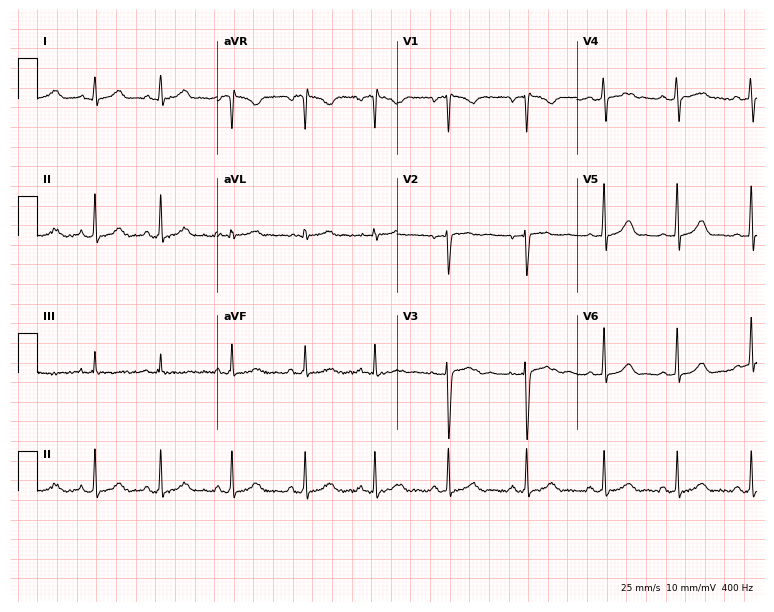
Standard 12-lead ECG recorded from a 25-year-old female patient. Read as a normal ECG.